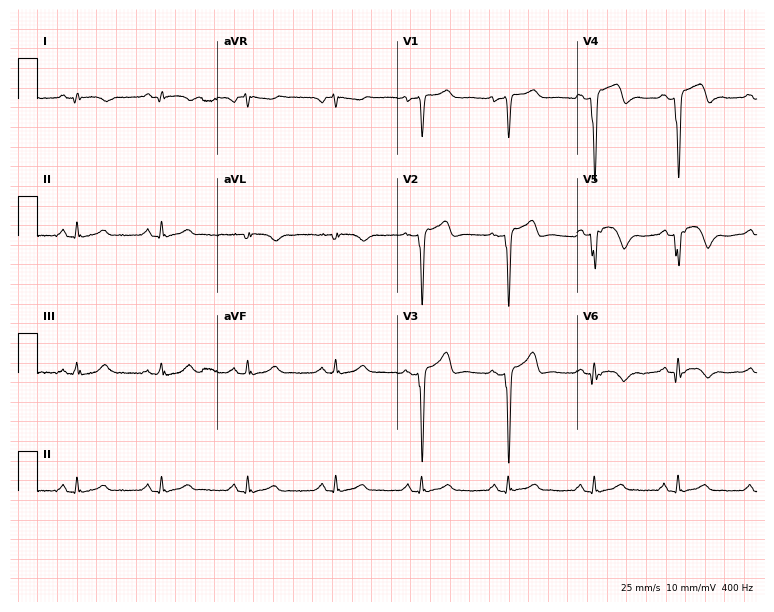
12-lead ECG (7.3-second recording at 400 Hz) from a 68-year-old male. Screened for six findings — first-degree AV block, right bundle branch block (RBBB), left bundle branch block (LBBB), sinus bradycardia, atrial fibrillation (AF), sinus tachycardia — none is recorded. Other findings, if any, are not listed.